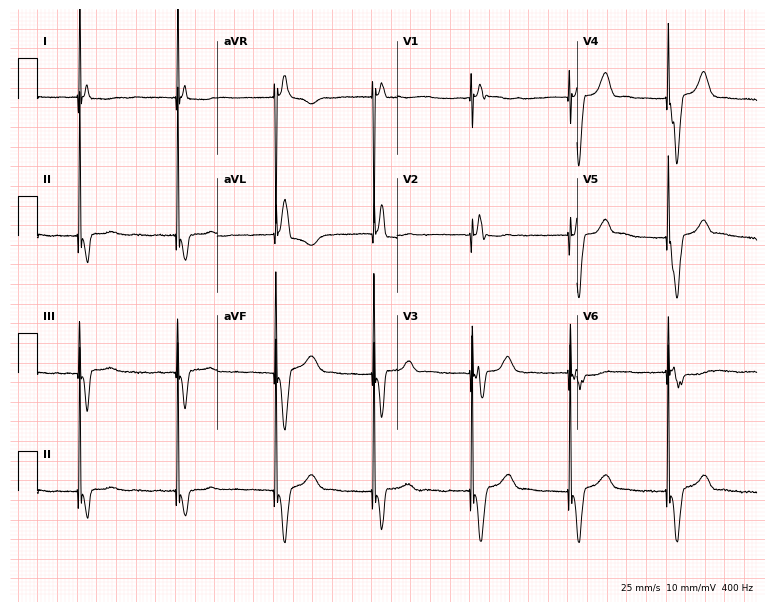
ECG (7.3-second recording at 400 Hz) — a man, 82 years old. Findings include right bundle branch block (RBBB), atrial fibrillation (AF).